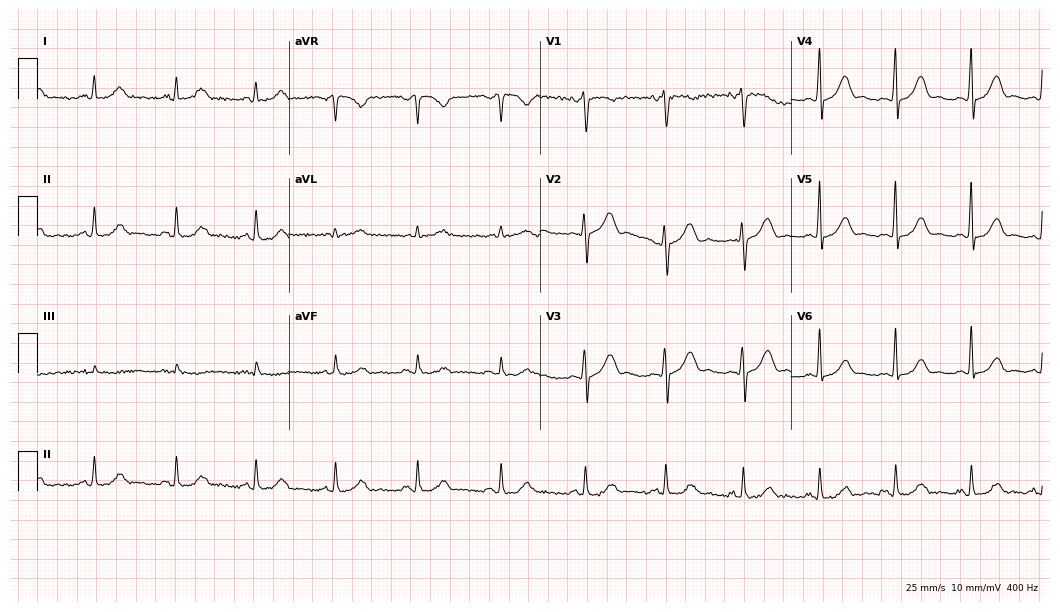
12-lead ECG (10.2-second recording at 400 Hz) from a 49-year-old woman. Labelled as a normal ECG.